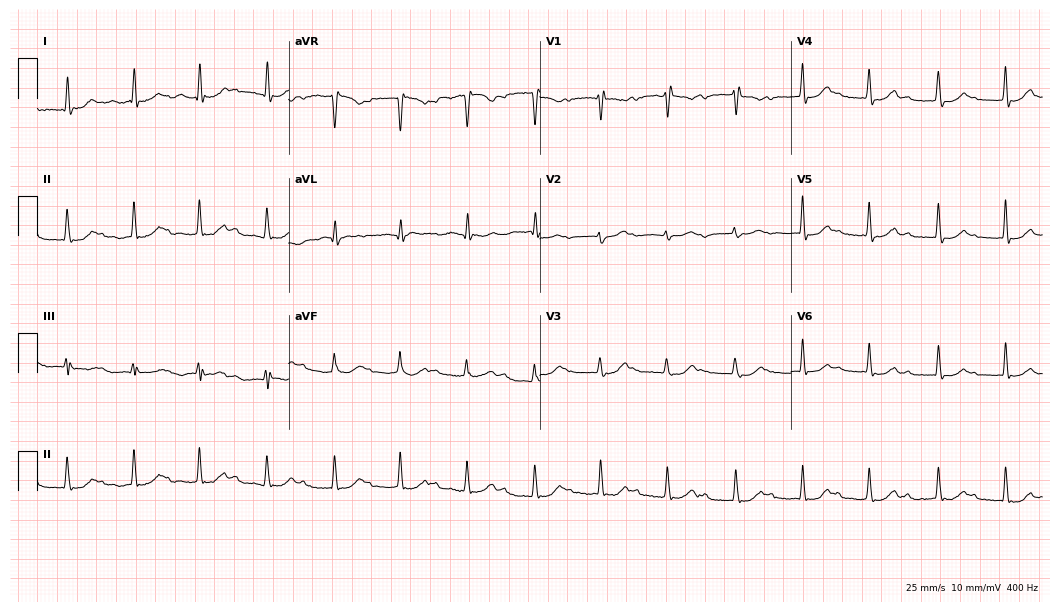
Electrocardiogram (10.2-second recording at 400 Hz), a 63-year-old man. Of the six screened findings (first-degree AV block, right bundle branch block, left bundle branch block, sinus bradycardia, atrial fibrillation, sinus tachycardia), none is recorded.